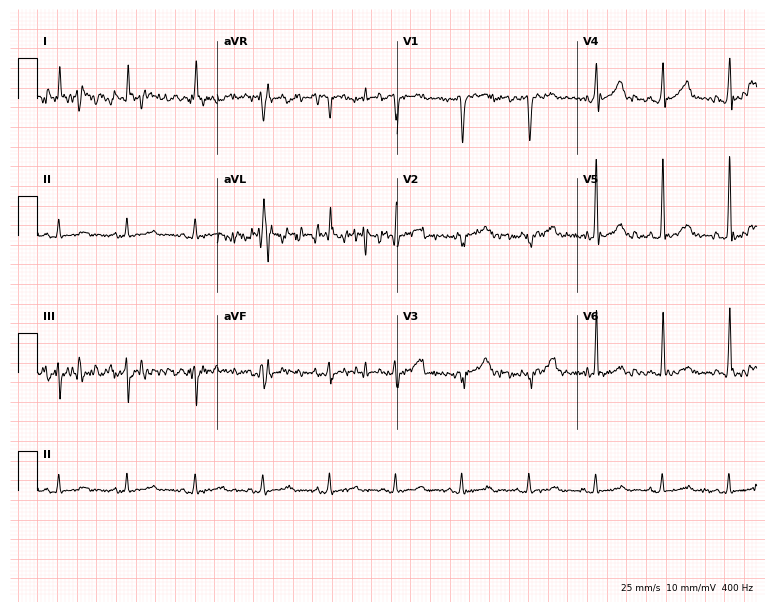
Resting 12-lead electrocardiogram. Patient: an 82-year-old male. None of these six findings is recorded: first-degree AV block, right bundle branch block, left bundle branch block, sinus bradycardia, atrial fibrillation, sinus tachycardia. Only these six findings were labelled.